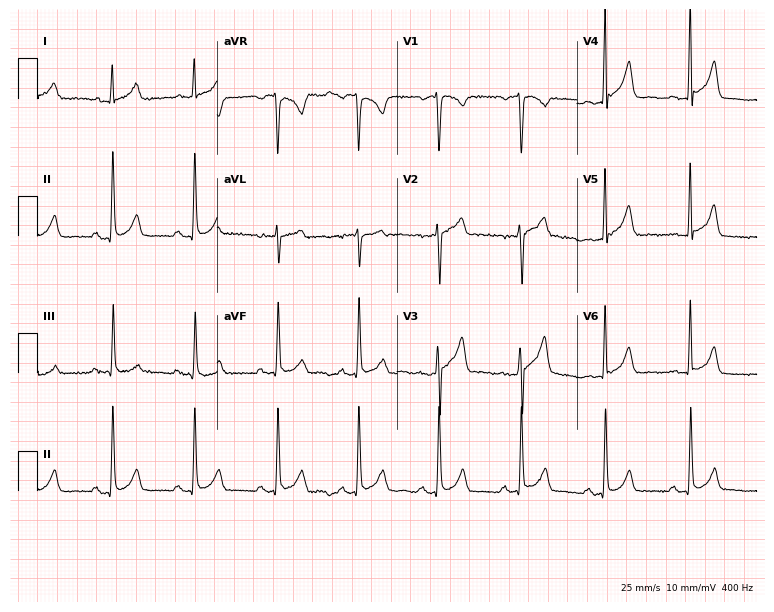
Resting 12-lead electrocardiogram (7.3-second recording at 400 Hz). Patient: a 53-year-old female. None of these six findings is recorded: first-degree AV block, right bundle branch block, left bundle branch block, sinus bradycardia, atrial fibrillation, sinus tachycardia. Other findings, if any, are not listed.